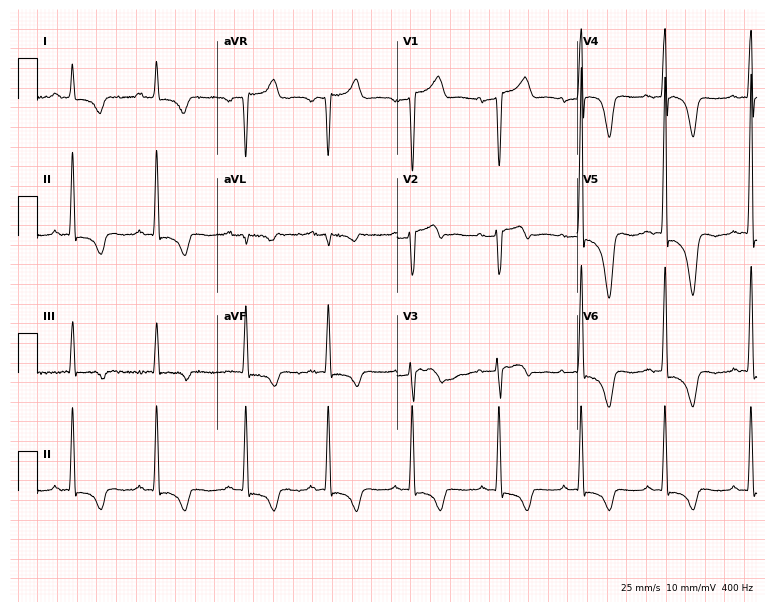
12-lead ECG from a 36-year-old woman. Screened for six findings — first-degree AV block, right bundle branch block, left bundle branch block, sinus bradycardia, atrial fibrillation, sinus tachycardia — none is recorded.